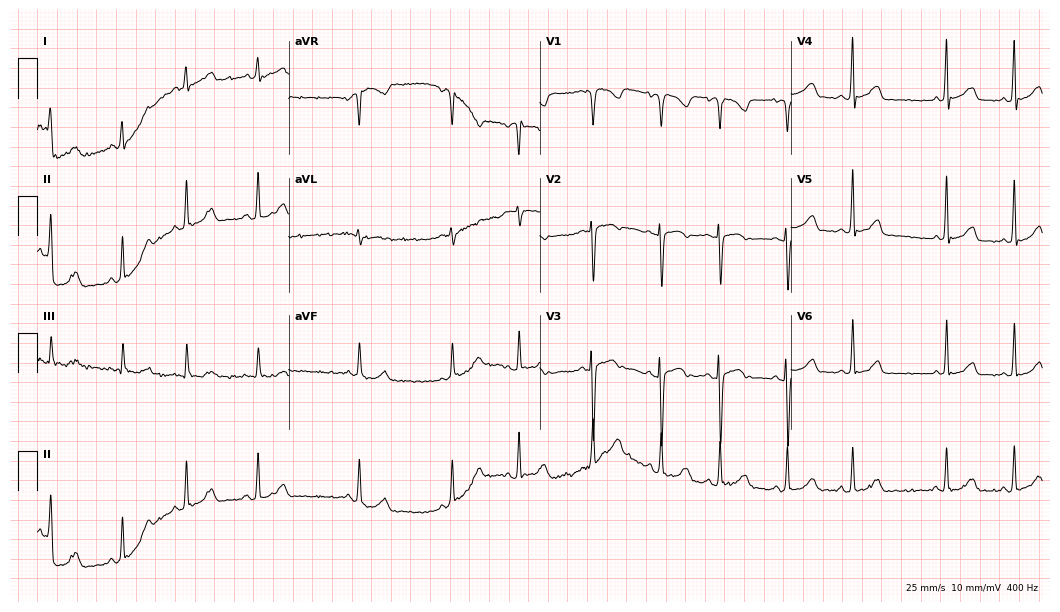
ECG (10.2-second recording at 400 Hz) — a female patient, 35 years old. Labelled as a normal ECG.